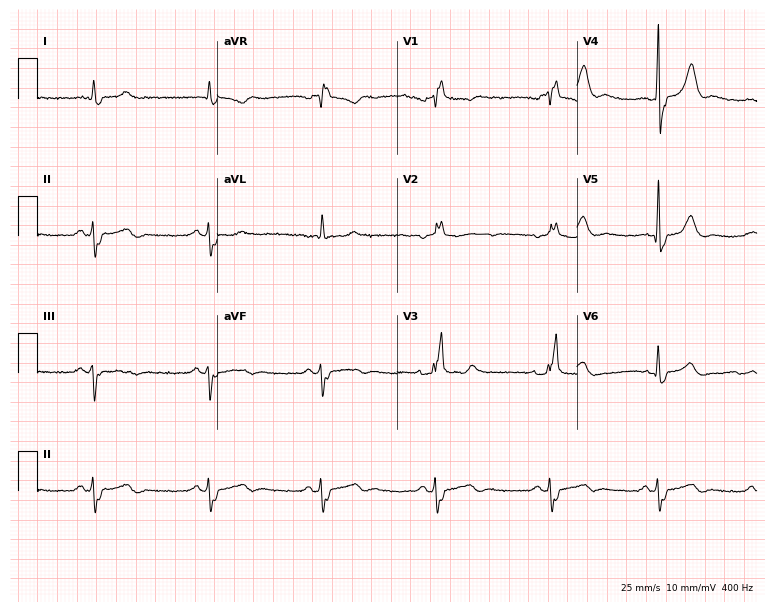
Standard 12-lead ECG recorded from a 54-year-old male. The tracing shows right bundle branch block.